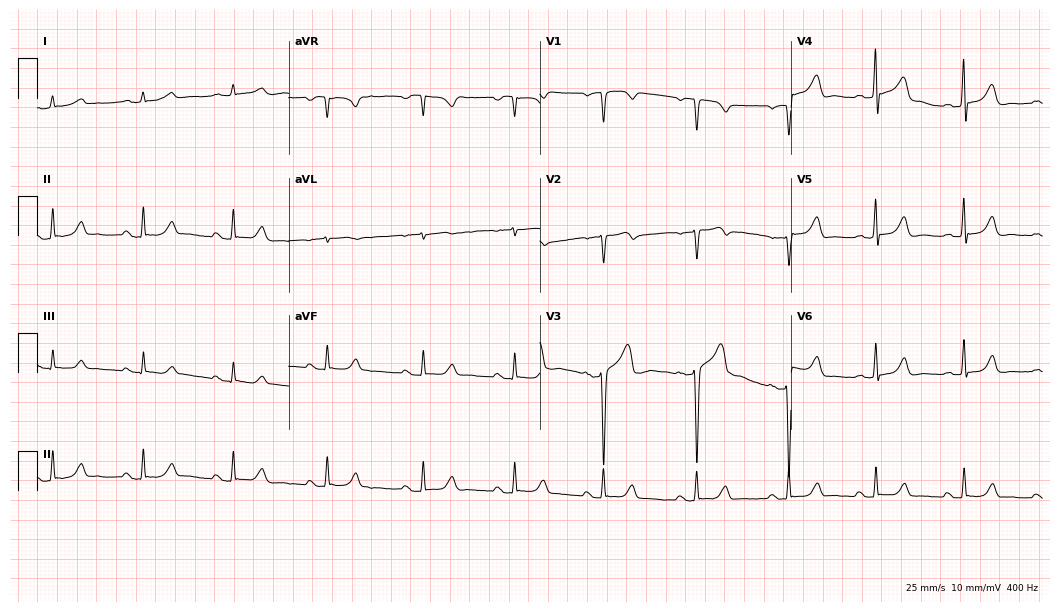
12-lead ECG from a female, 42 years old. Labelled as a normal ECG.